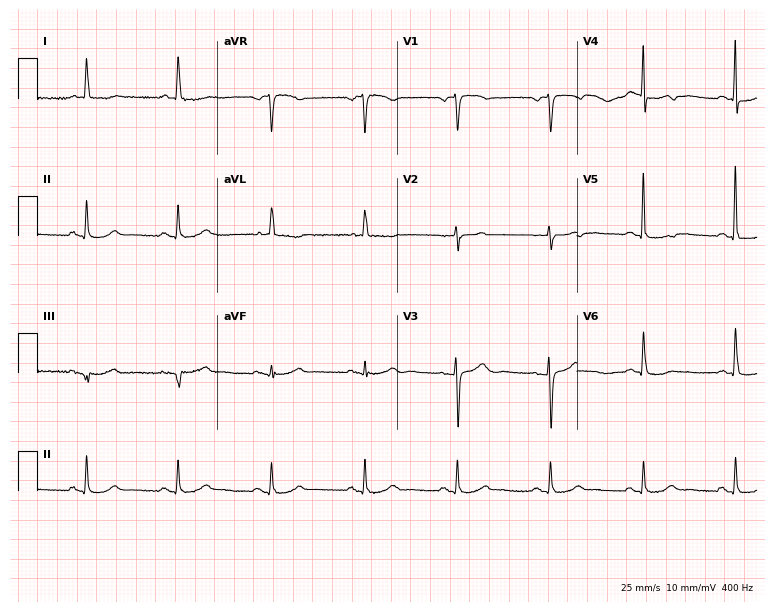
Electrocardiogram, an 82-year-old female patient. Of the six screened findings (first-degree AV block, right bundle branch block, left bundle branch block, sinus bradycardia, atrial fibrillation, sinus tachycardia), none is recorded.